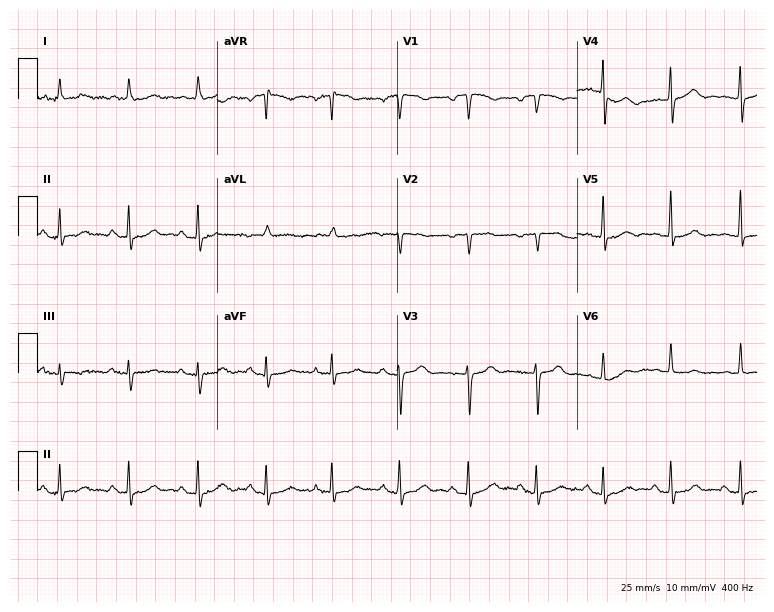
Electrocardiogram, an 84-year-old female patient. Overall reading on record: normal ECG.